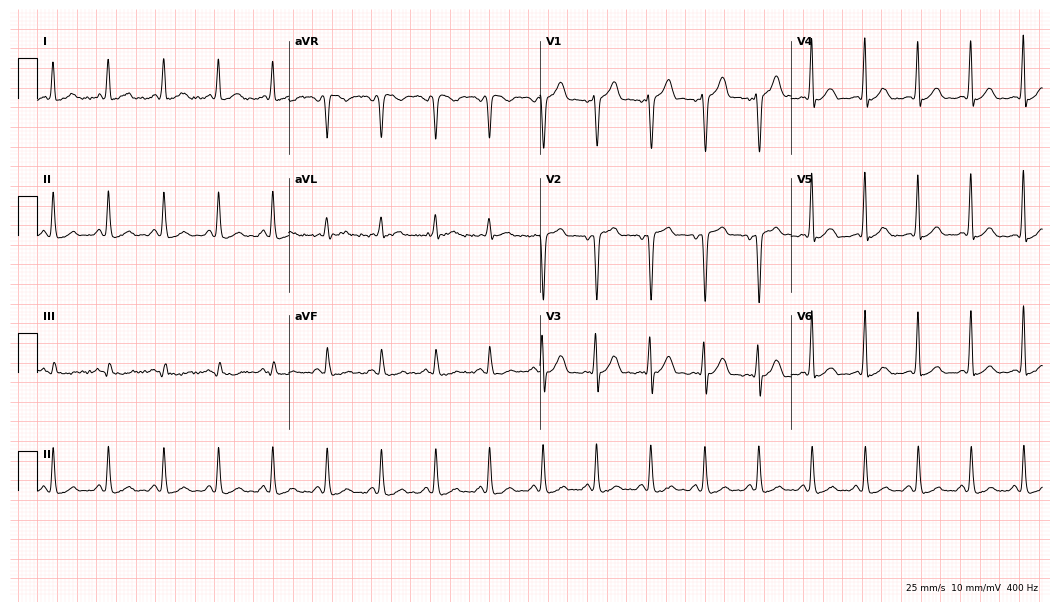
Electrocardiogram (10.2-second recording at 400 Hz), a man, 43 years old. Interpretation includes sinus tachycardia (a sinus rate of 100 beats per minute or more).